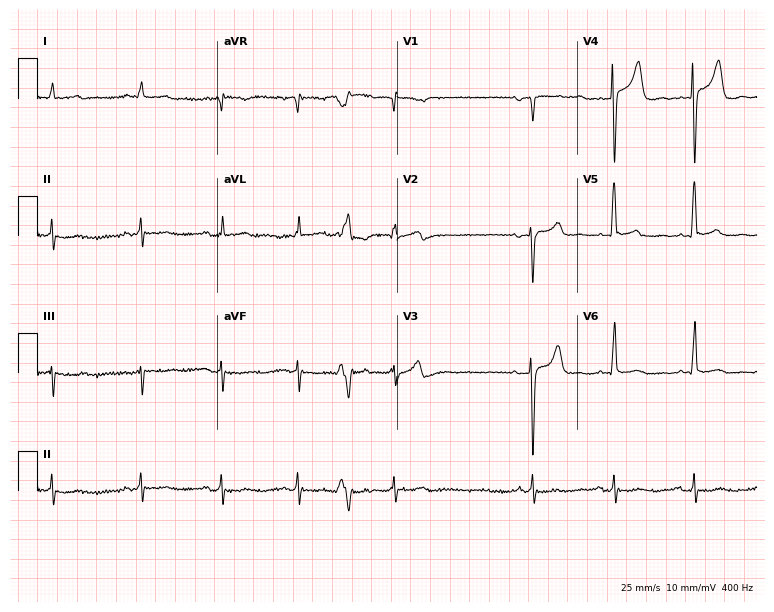
Electrocardiogram, a man, 59 years old. Of the six screened findings (first-degree AV block, right bundle branch block, left bundle branch block, sinus bradycardia, atrial fibrillation, sinus tachycardia), none is recorded. Other findings, if any, are not listed.